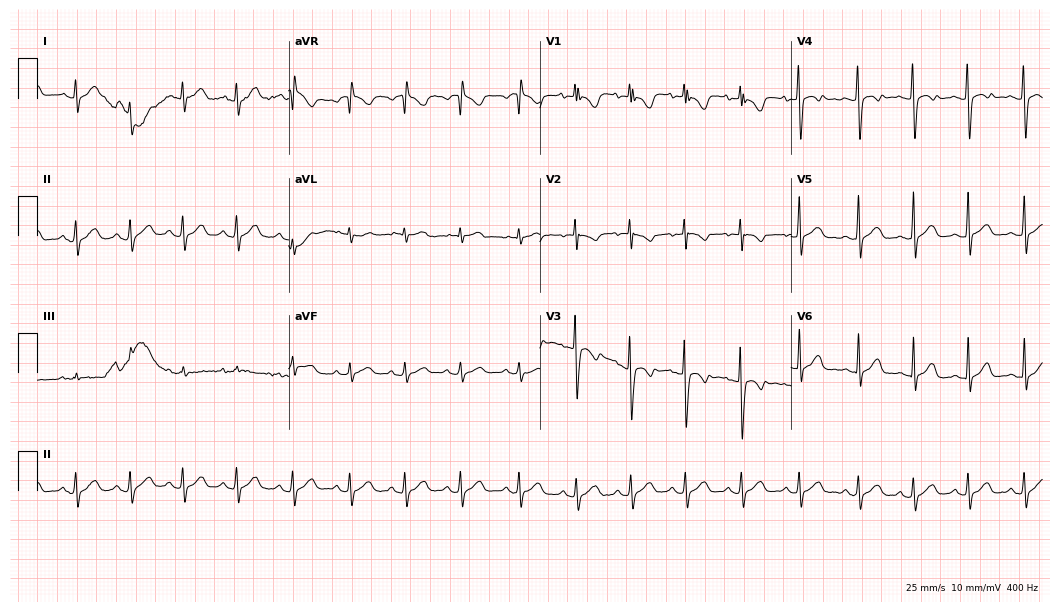
12-lead ECG (10.2-second recording at 400 Hz) from a 32-year-old woman. Findings include sinus tachycardia (a sinus rate of 100 beats per minute or more).